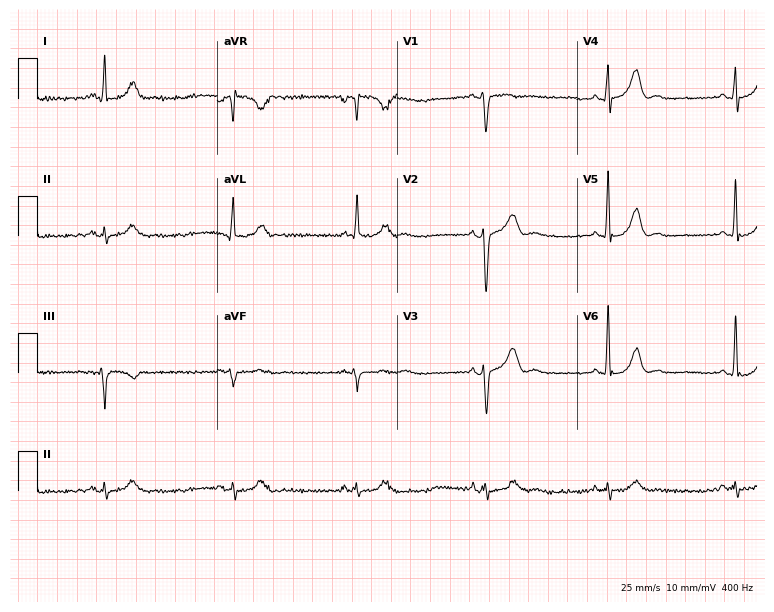
Resting 12-lead electrocardiogram (7.3-second recording at 400 Hz). Patient: a male, 61 years old. The tracing shows sinus bradycardia (a sinus rate of 50 beats per minute or less).